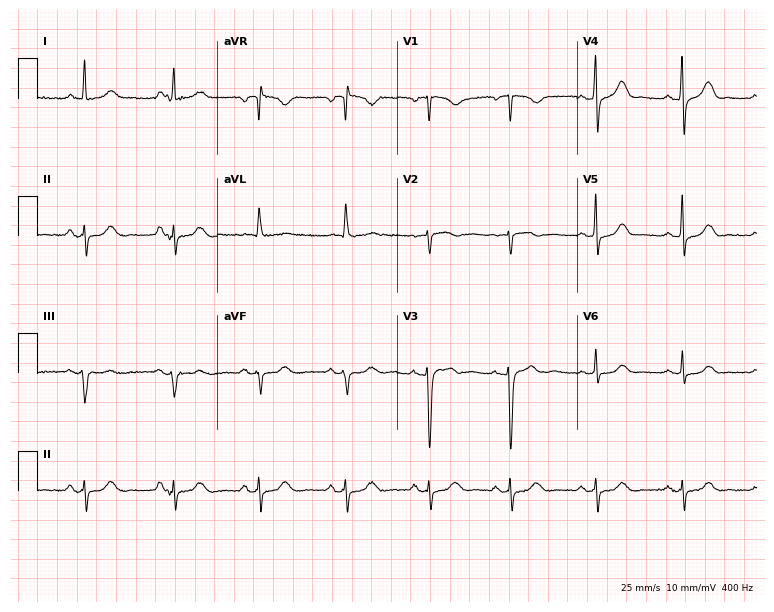
12-lead ECG from a 62-year-old female (7.3-second recording at 400 Hz). No first-degree AV block, right bundle branch block (RBBB), left bundle branch block (LBBB), sinus bradycardia, atrial fibrillation (AF) or sinus tachycardia recorded for this tracing. Findings outside these six are not listed.